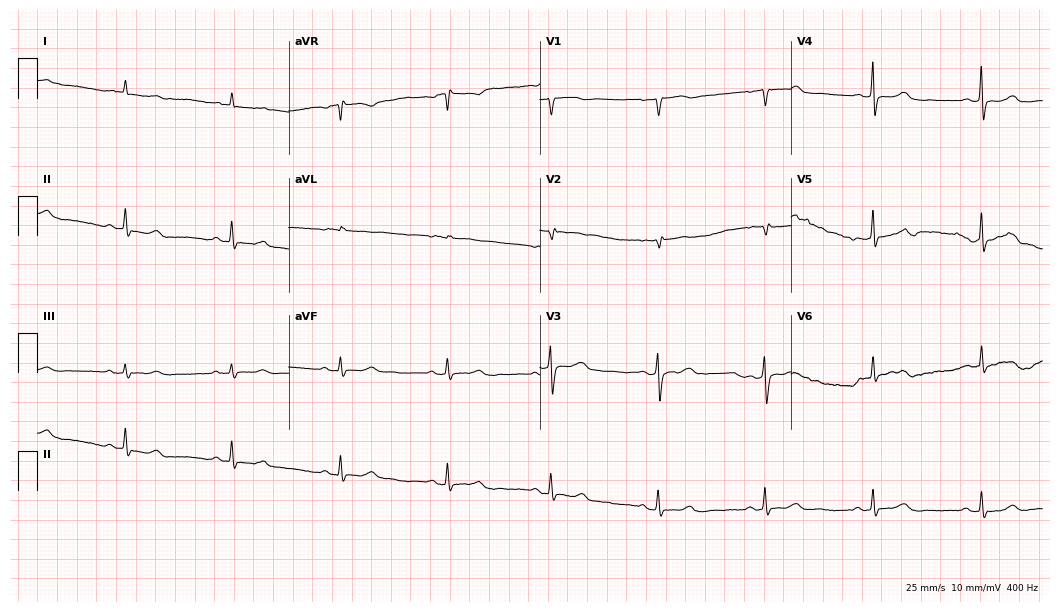
Standard 12-lead ECG recorded from a female patient, 61 years old (10.2-second recording at 400 Hz). None of these six findings is recorded: first-degree AV block, right bundle branch block, left bundle branch block, sinus bradycardia, atrial fibrillation, sinus tachycardia. Only these six findings were labelled.